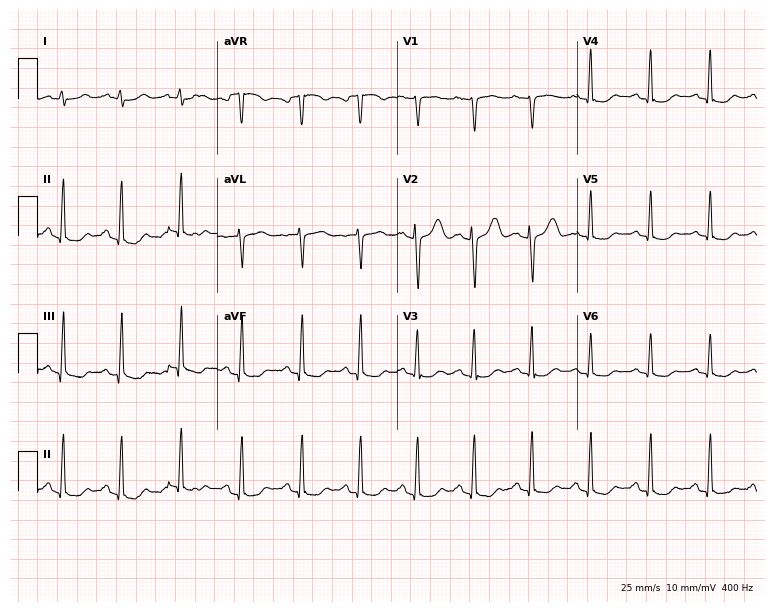
12-lead ECG from a 35-year-old woman. Findings include sinus tachycardia (a sinus rate of 100 beats per minute or more).